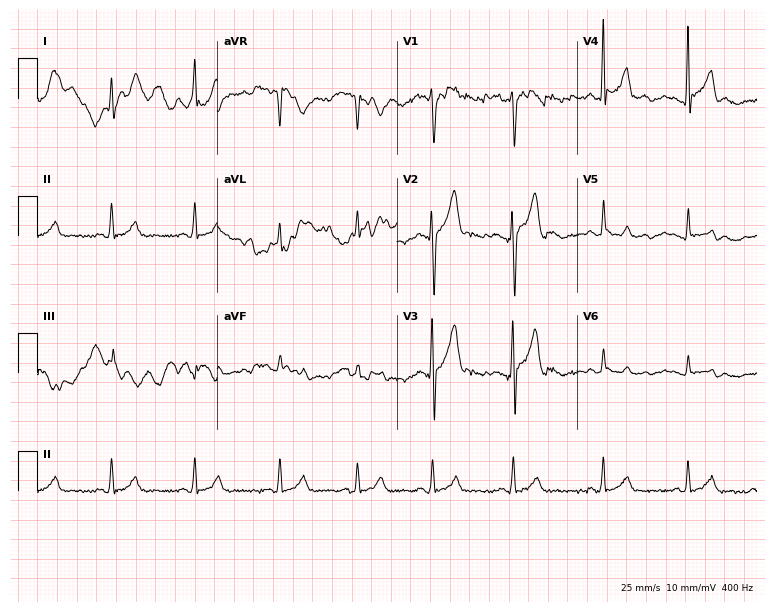
ECG (7.3-second recording at 400 Hz) — a 20-year-old male patient. Screened for six findings — first-degree AV block, right bundle branch block, left bundle branch block, sinus bradycardia, atrial fibrillation, sinus tachycardia — none is recorded.